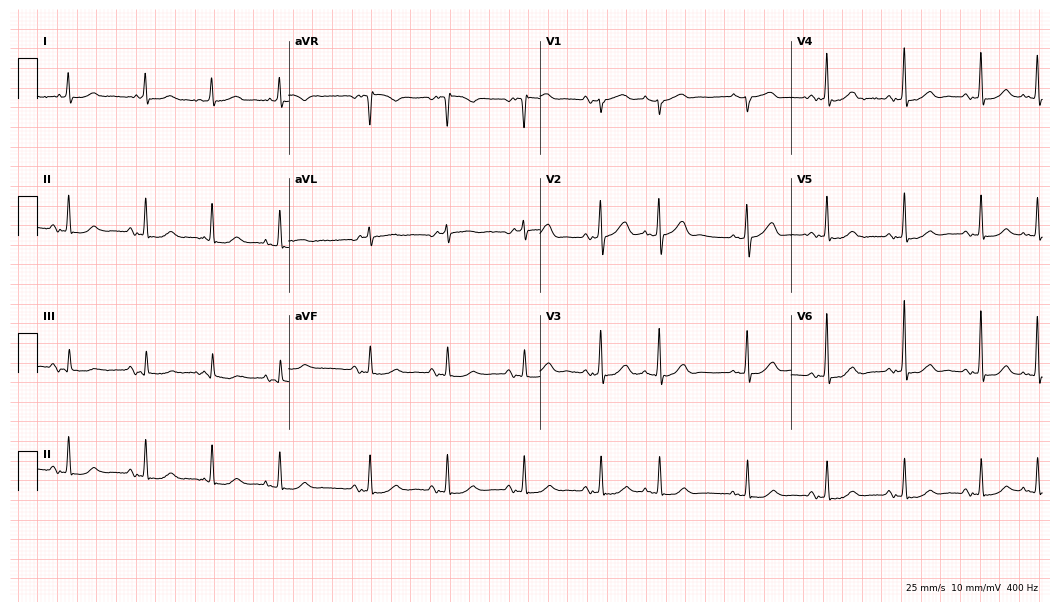
Electrocardiogram (10.2-second recording at 400 Hz), a 78-year-old male. Of the six screened findings (first-degree AV block, right bundle branch block, left bundle branch block, sinus bradycardia, atrial fibrillation, sinus tachycardia), none is recorded.